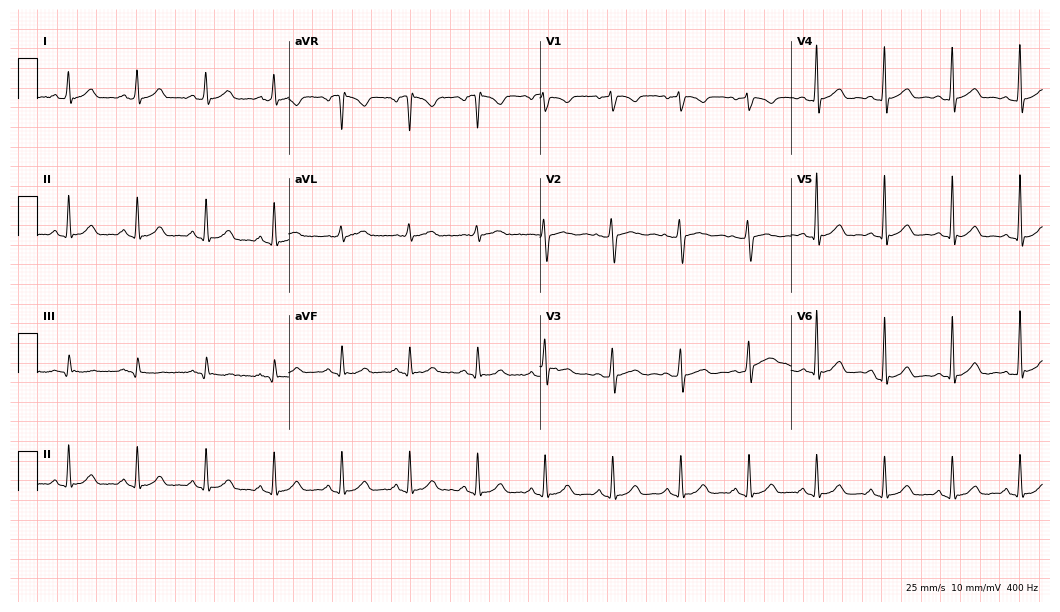
Electrocardiogram (10.2-second recording at 400 Hz), a female, 48 years old. Of the six screened findings (first-degree AV block, right bundle branch block (RBBB), left bundle branch block (LBBB), sinus bradycardia, atrial fibrillation (AF), sinus tachycardia), none is recorded. Other findings, if any, are not listed.